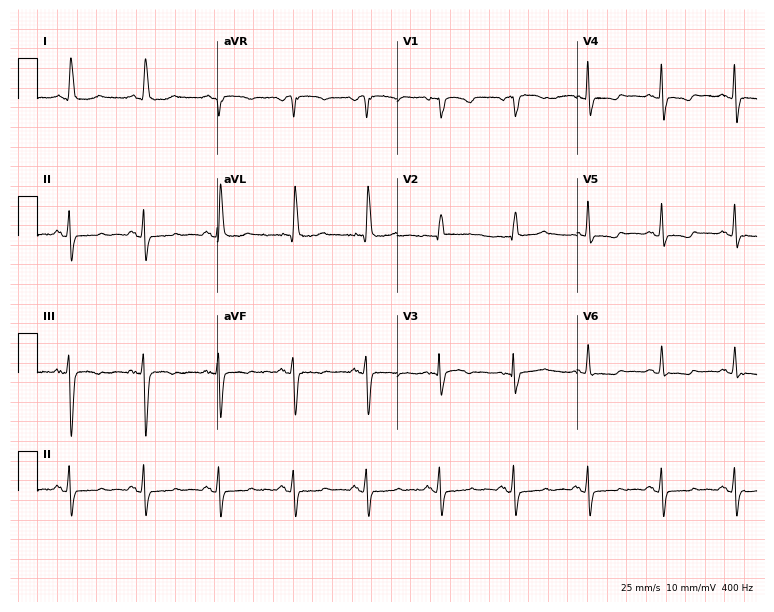
12-lead ECG from a female patient, 70 years old (7.3-second recording at 400 Hz). No first-degree AV block, right bundle branch block (RBBB), left bundle branch block (LBBB), sinus bradycardia, atrial fibrillation (AF) or sinus tachycardia recorded for this tracing.